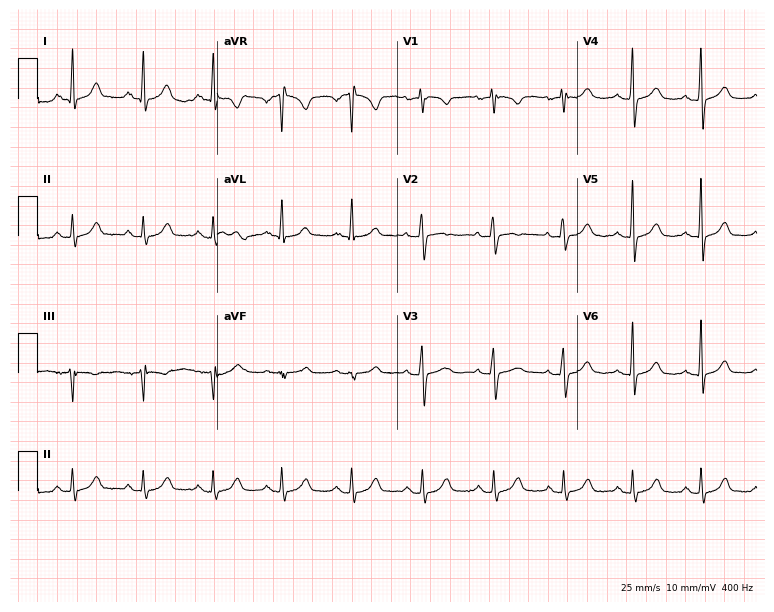
Electrocardiogram, a 59-year-old female. Of the six screened findings (first-degree AV block, right bundle branch block (RBBB), left bundle branch block (LBBB), sinus bradycardia, atrial fibrillation (AF), sinus tachycardia), none is recorded.